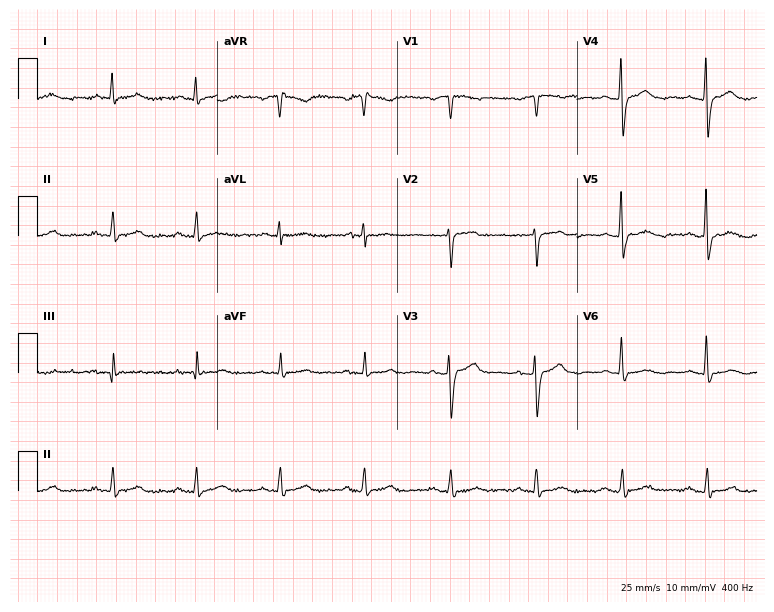
Electrocardiogram (7.3-second recording at 400 Hz), a female, 71 years old. Of the six screened findings (first-degree AV block, right bundle branch block, left bundle branch block, sinus bradycardia, atrial fibrillation, sinus tachycardia), none is recorded. Other findings, if any, are not listed.